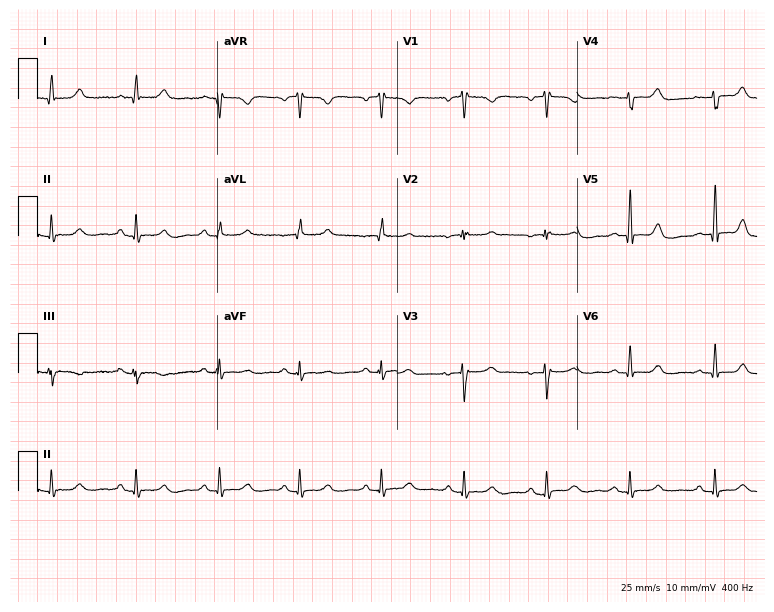
Resting 12-lead electrocardiogram. Patient: a woman, 60 years old. Read as a normal ECG.